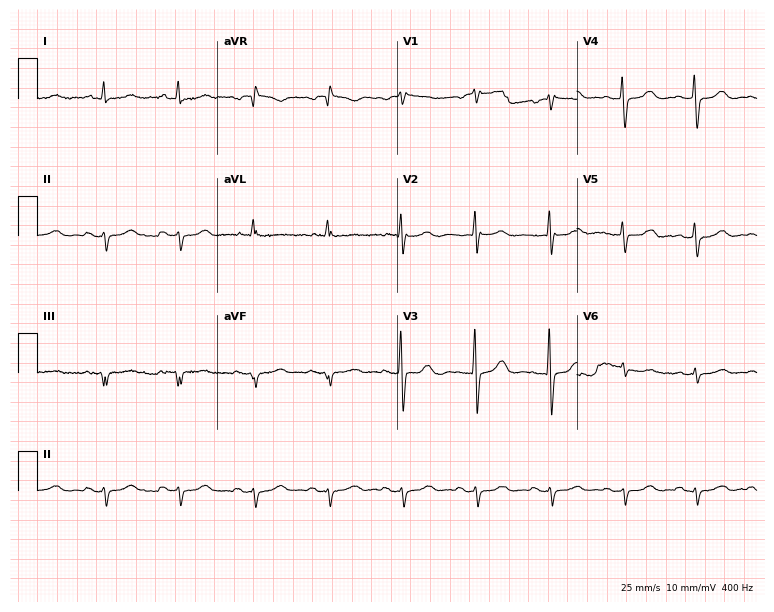
Resting 12-lead electrocardiogram. Patient: a 70-year-old female. None of these six findings is recorded: first-degree AV block, right bundle branch block, left bundle branch block, sinus bradycardia, atrial fibrillation, sinus tachycardia.